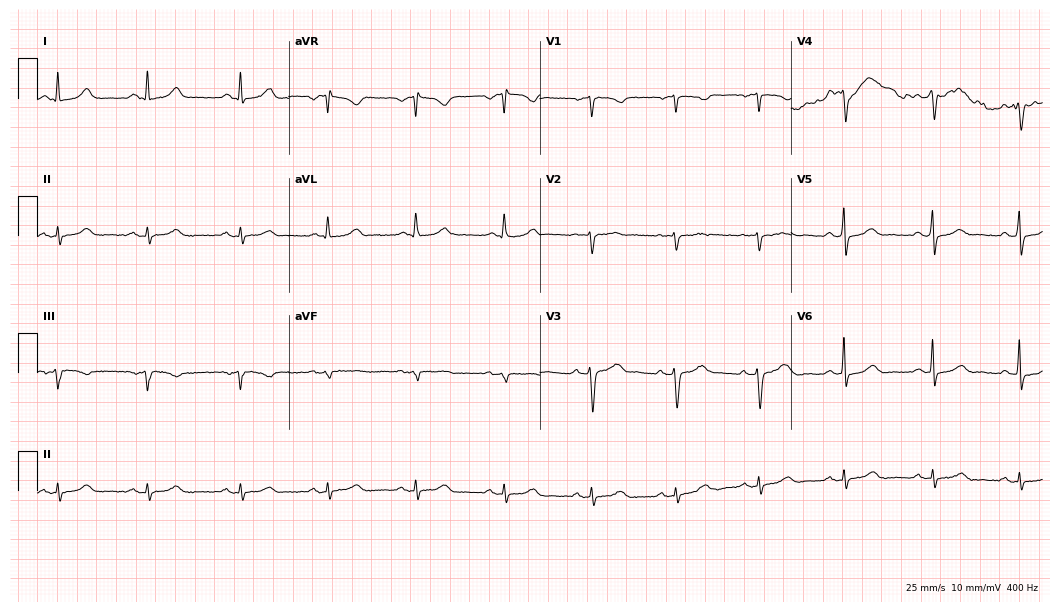
12-lead ECG from a woman, 33 years old. Screened for six findings — first-degree AV block, right bundle branch block, left bundle branch block, sinus bradycardia, atrial fibrillation, sinus tachycardia — none is recorded.